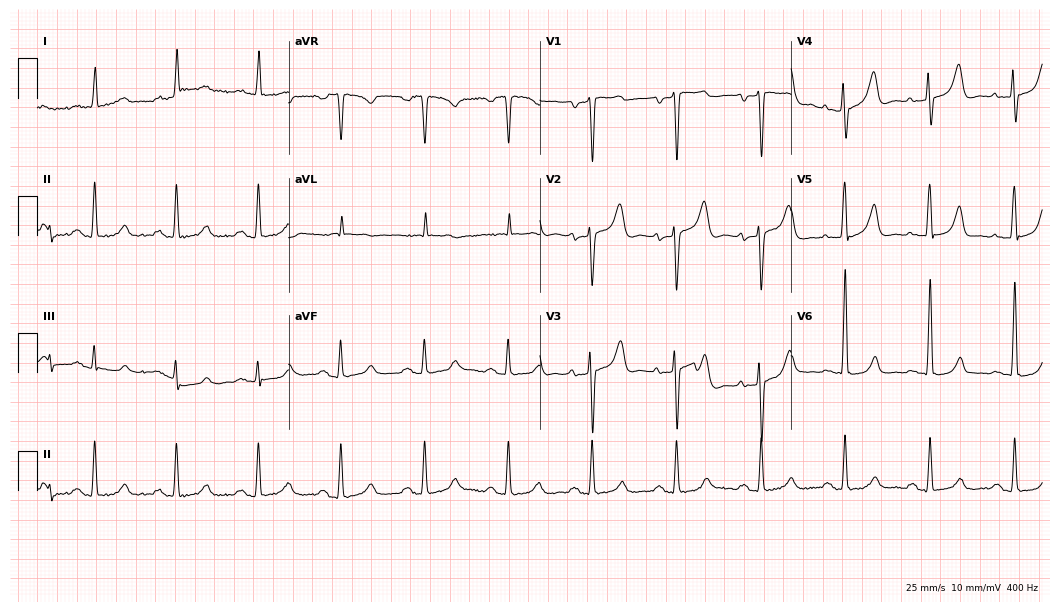
Electrocardiogram (10.2-second recording at 400 Hz), a male patient, 80 years old. Overall reading on record: normal ECG.